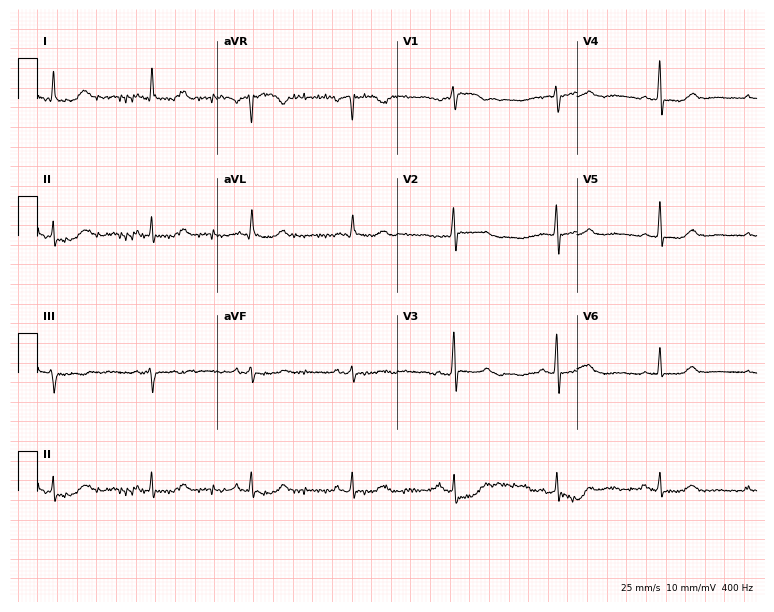
Resting 12-lead electrocardiogram (7.3-second recording at 400 Hz). Patient: a female, 81 years old. Read as a normal ECG.